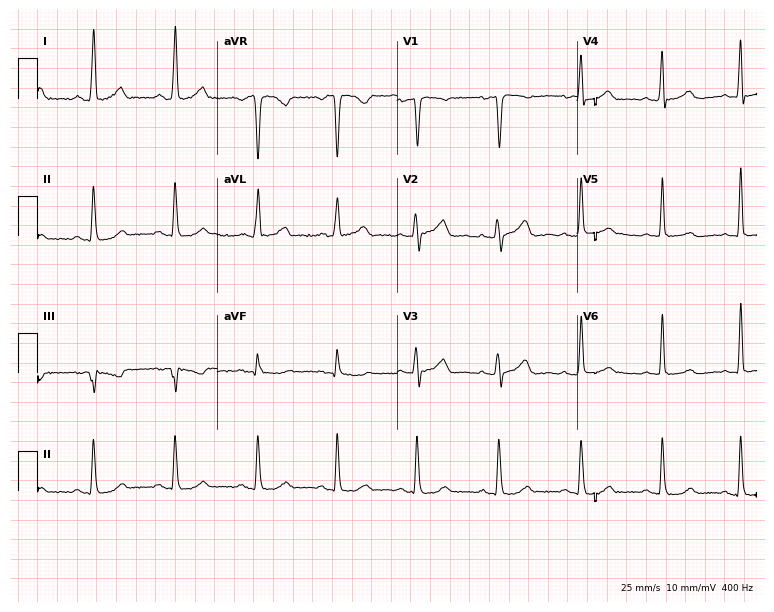
Electrocardiogram, a 56-year-old female patient. Of the six screened findings (first-degree AV block, right bundle branch block, left bundle branch block, sinus bradycardia, atrial fibrillation, sinus tachycardia), none is recorded. Findings outside these six are not listed.